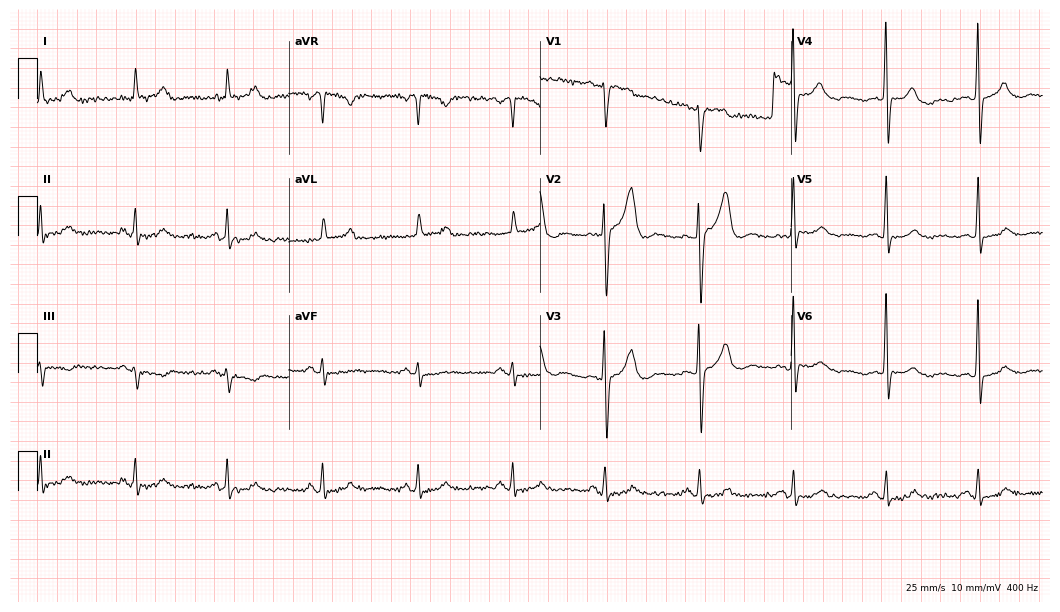
12-lead ECG from an 82-year-old female patient (10.2-second recording at 400 Hz). Recorded interpretation: within normal limits.